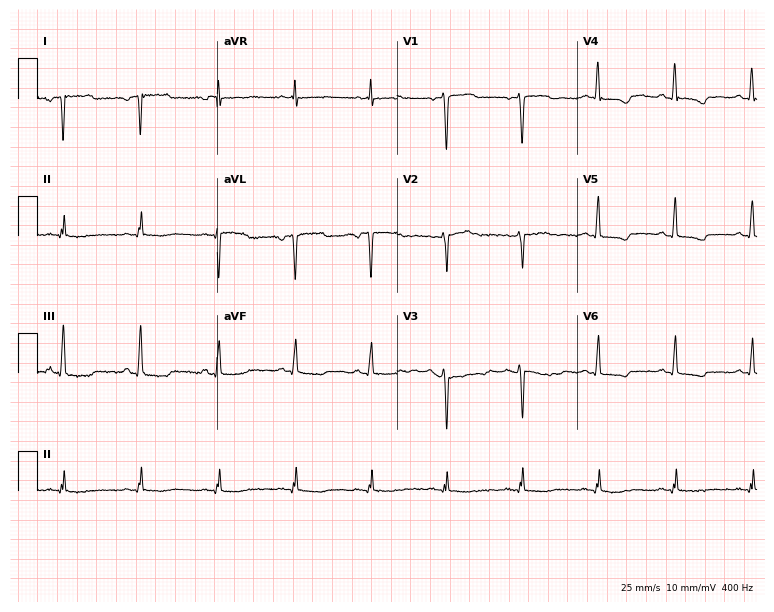
Resting 12-lead electrocardiogram. Patient: a 53-year-old female. None of these six findings is recorded: first-degree AV block, right bundle branch block, left bundle branch block, sinus bradycardia, atrial fibrillation, sinus tachycardia.